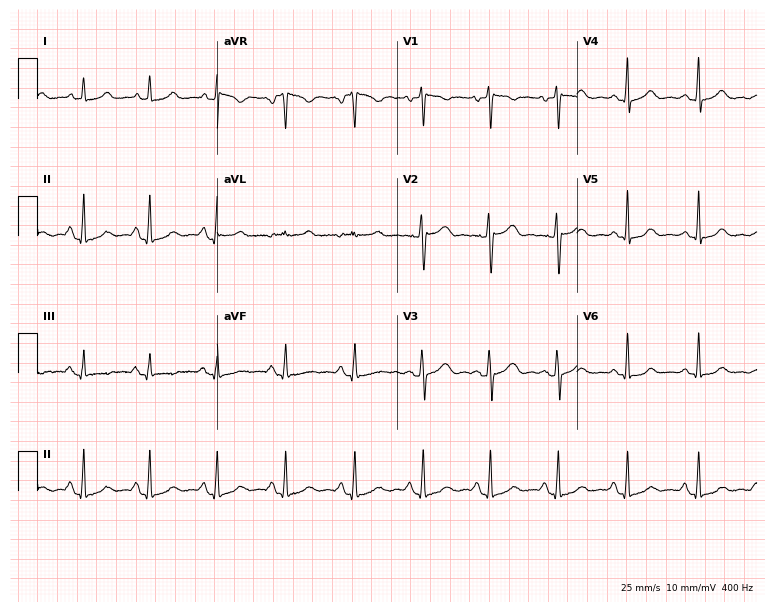
Electrocardiogram (7.3-second recording at 400 Hz), a woman, 51 years old. Overall reading on record: normal ECG.